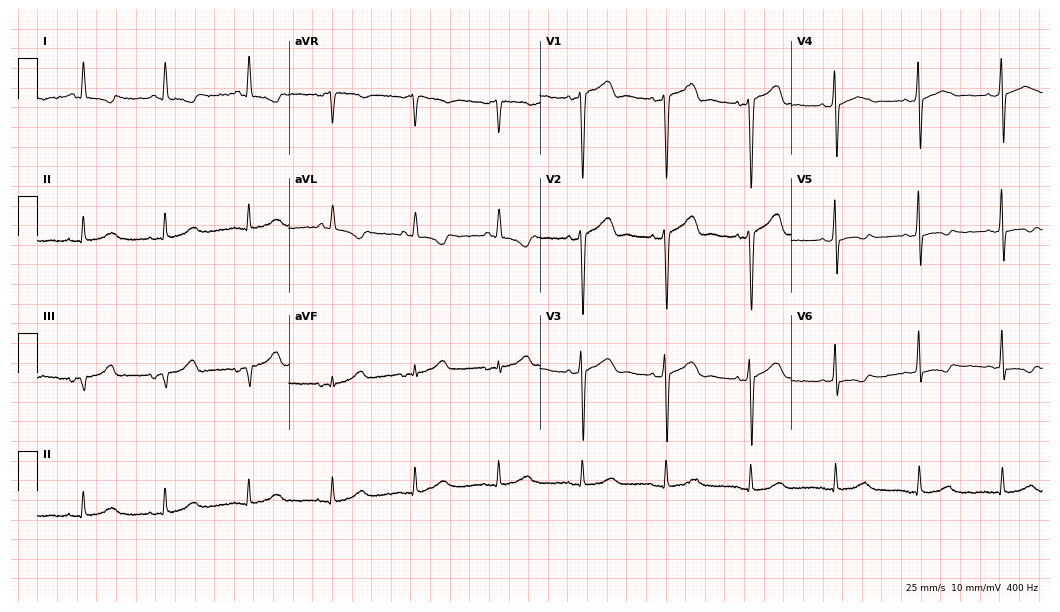
Resting 12-lead electrocardiogram. Patient: a 65-year-old female. None of these six findings is recorded: first-degree AV block, right bundle branch block, left bundle branch block, sinus bradycardia, atrial fibrillation, sinus tachycardia.